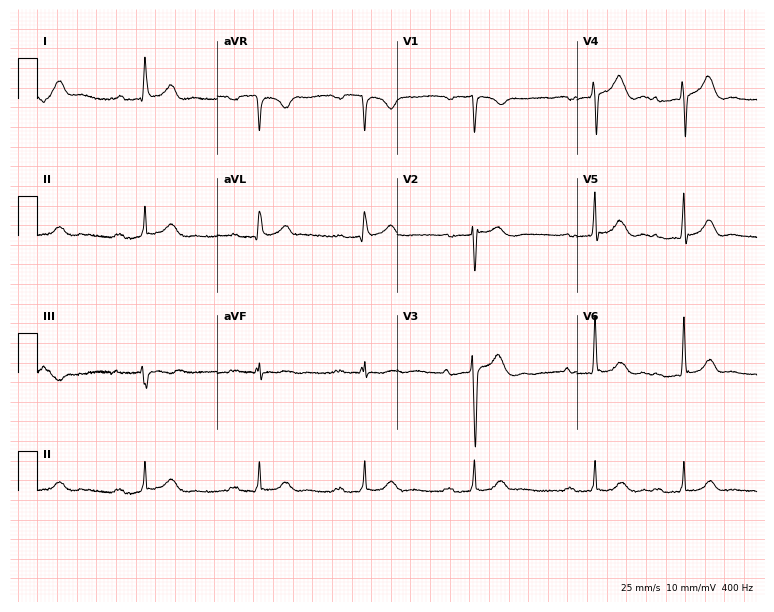
ECG (7.3-second recording at 400 Hz) — a 61-year-old male patient. Findings include first-degree AV block.